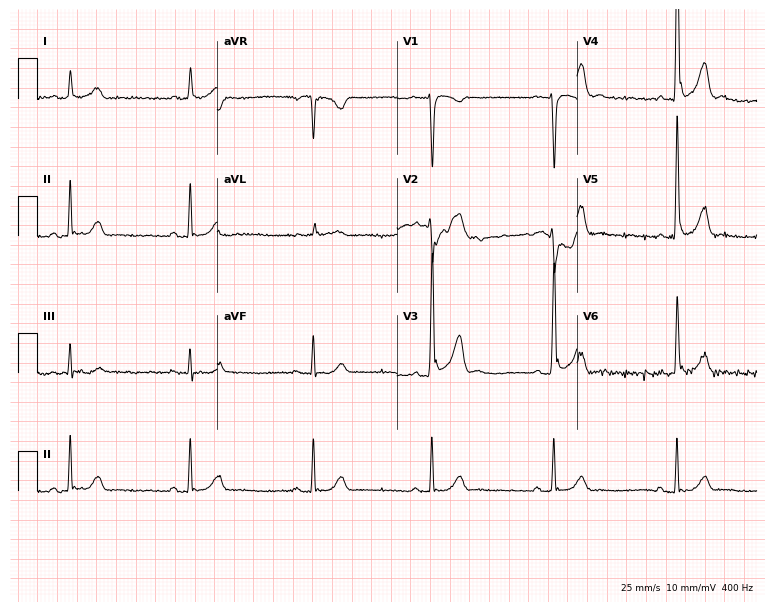
ECG (7.3-second recording at 400 Hz) — a 39-year-old male patient. Findings include sinus bradycardia (a sinus rate of 50 beats per minute or less).